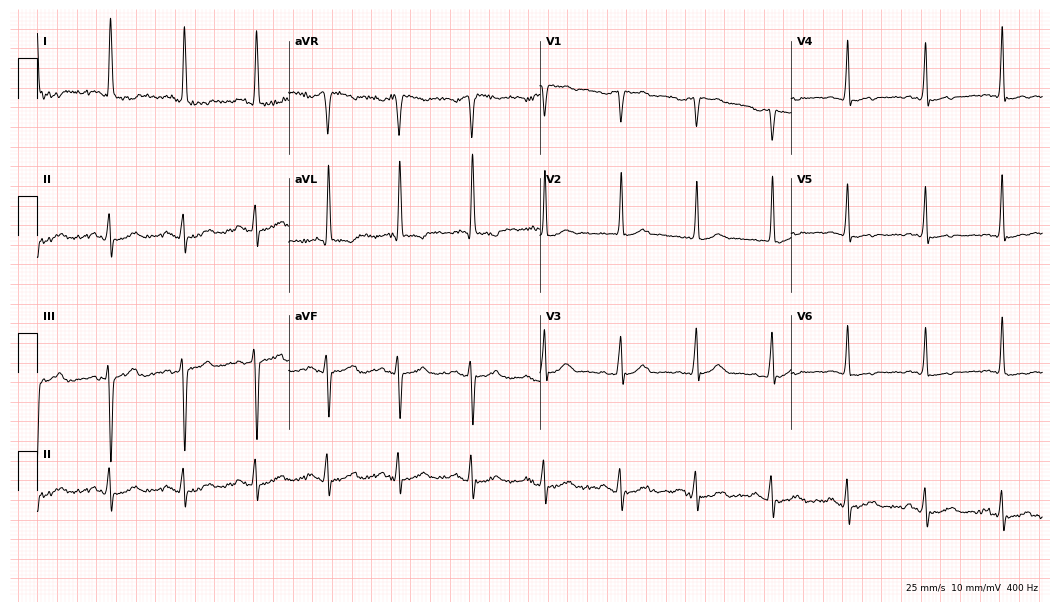
12-lead ECG from a female patient, 81 years old. Screened for six findings — first-degree AV block, right bundle branch block, left bundle branch block, sinus bradycardia, atrial fibrillation, sinus tachycardia — none is recorded.